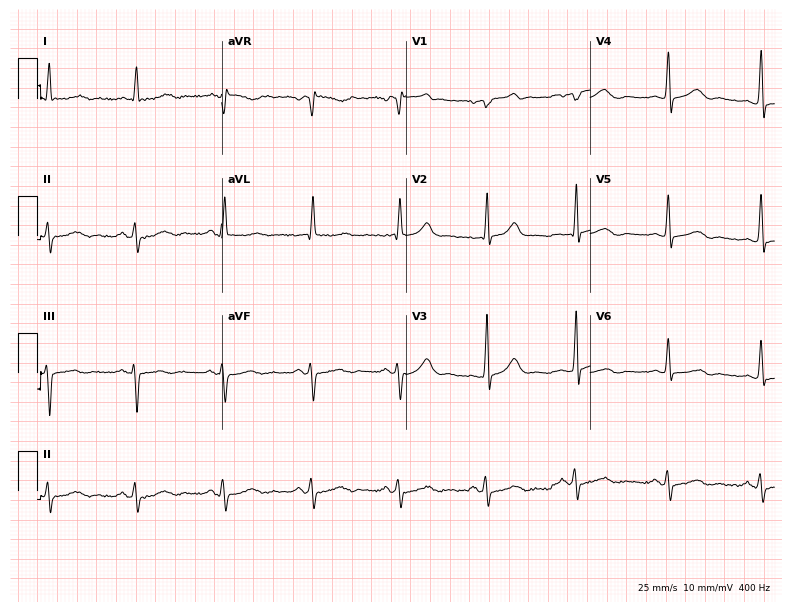
Electrocardiogram (7.5-second recording at 400 Hz), a male patient, 59 years old. Of the six screened findings (first-degree AV block, right bundle branch block, left bundle branch block, sinus bradycardia, atrial fibrillation, sinus tachycardia), none is recorded.